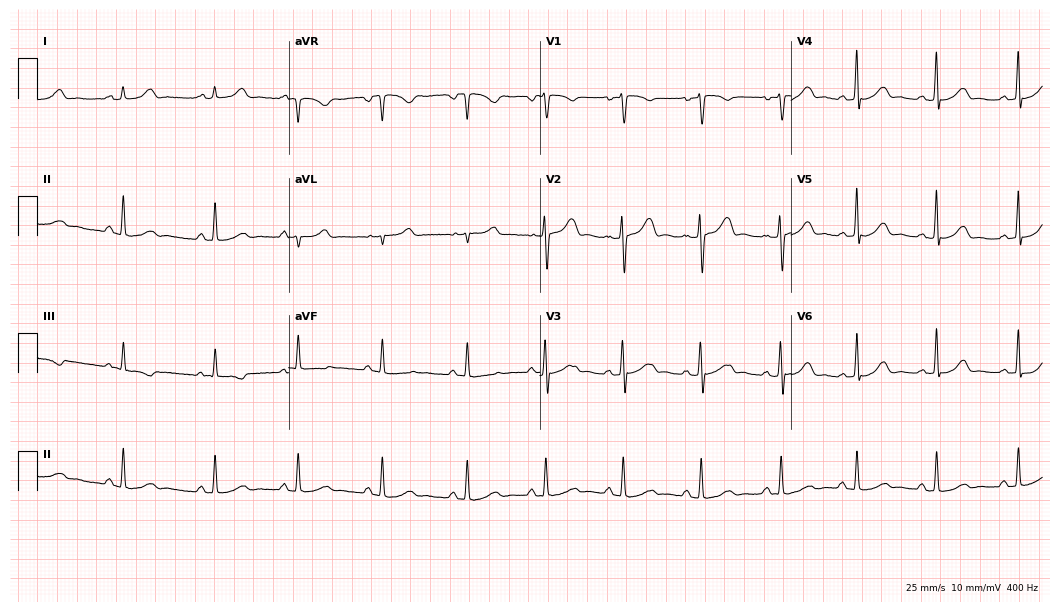
ECG — a 27-year-old female. Labelled as a normal ECG.